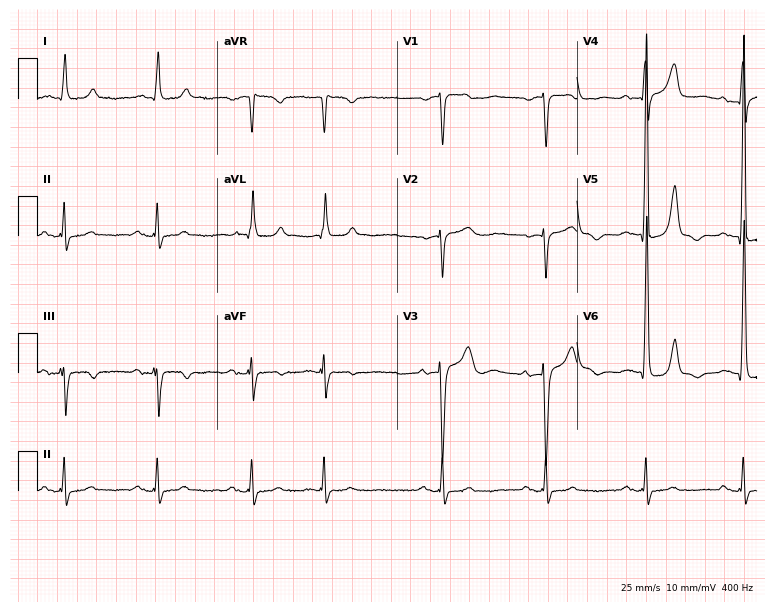
Standard 12-lead ECG recorded from a man, 84 years old. None of these six findings is recorded: first-degree AV block, right bundle branch block (RBBB), left bundle branch block (LBBB), sinus bradycardia, atrial fibrillation (AF), sinus tachycardia. Findings outside these six are not listed.